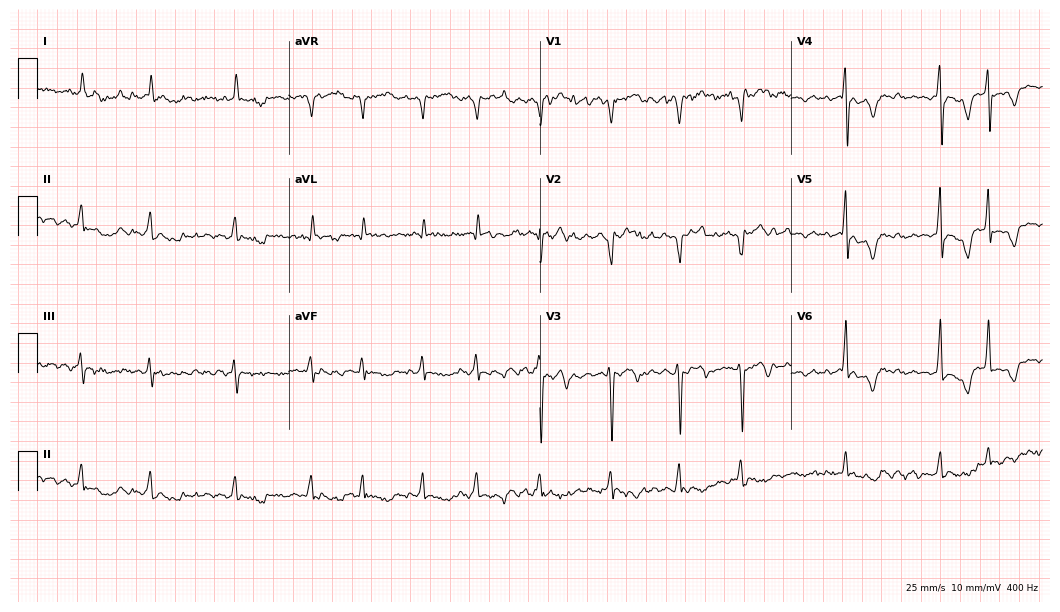
Standard 12-lead ECG recorded from a 52-year-old male (10.2-second recording at 400 Hz). The tracing shows atrial fibrillation (AF).